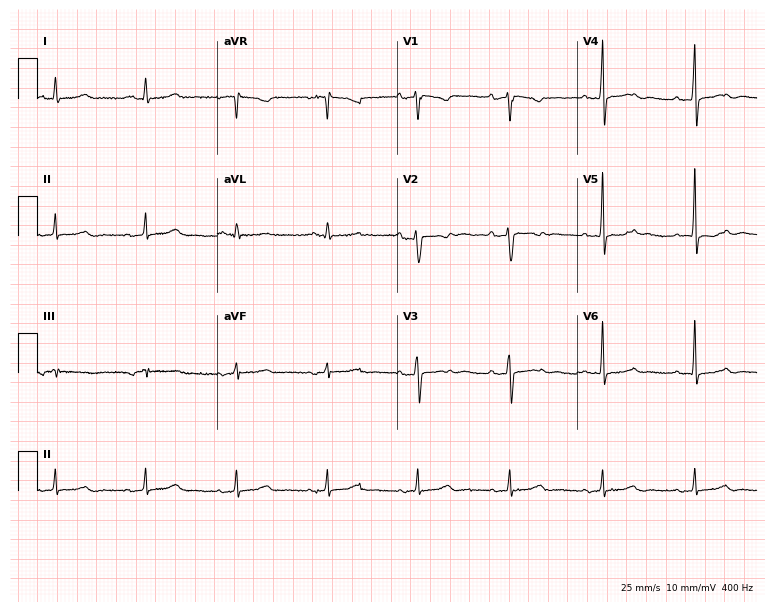
Resting 12-lead electrocardiogram. Patient: an 82-year-old female. None of these six findings is recorded: first-degree AV block, right bundle branch block, left bundle branch block, sinus bradycardia, atrial fibrillation, sinus tachycardia. Findings outside these six are not listed.